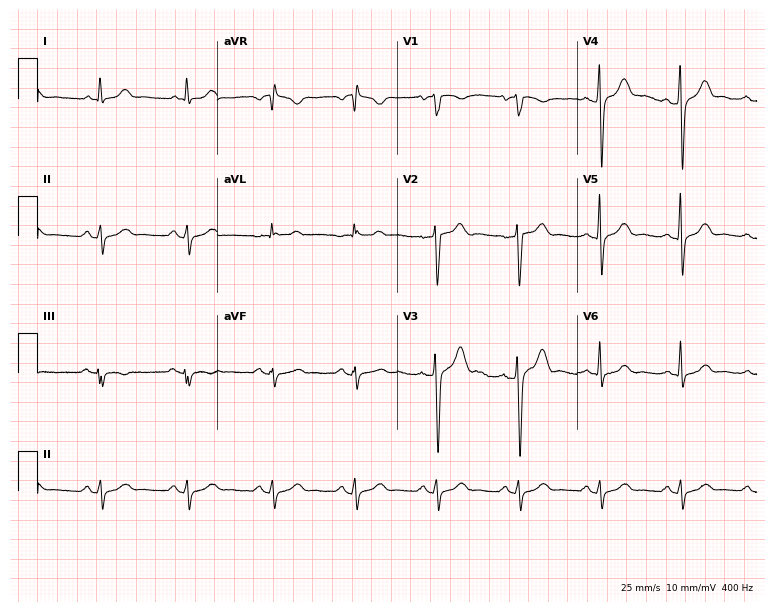
Resting 12-lead electrocardiogram. Patient: a 54-year-old male. None of these six findings is recorded: first-degree AV block, right bundle branch block, left bundle branch block, sinus bradycardia, atrial fibrillation, sinus tachycardia. Findings outside these six are not listed.